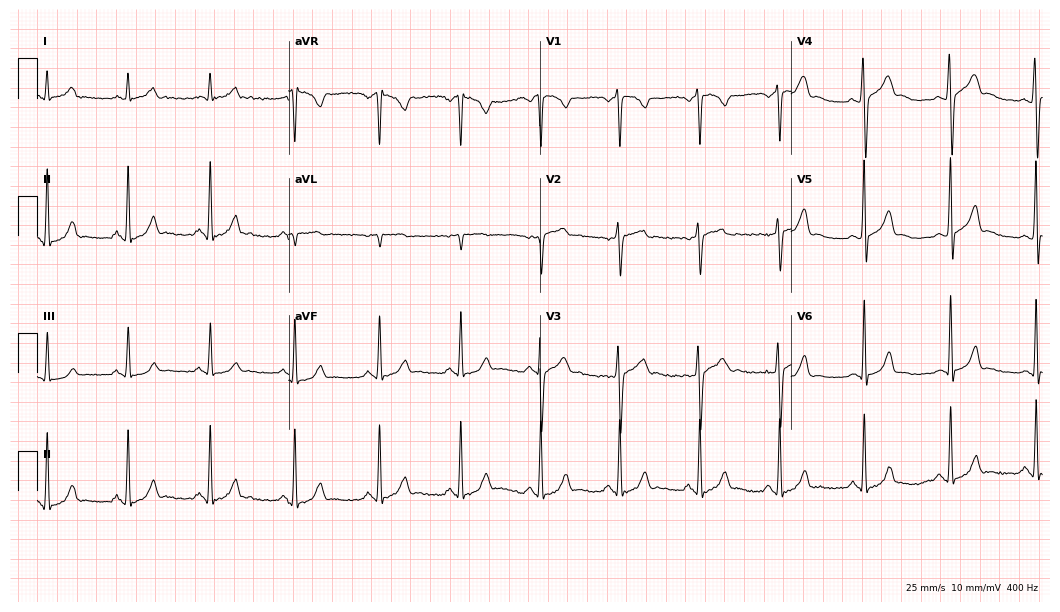
Resting 12-lead electrocardiogram (10.2-second recording at 400 Hz). Patient: a 37-year-old male. Read as a normal ECG.